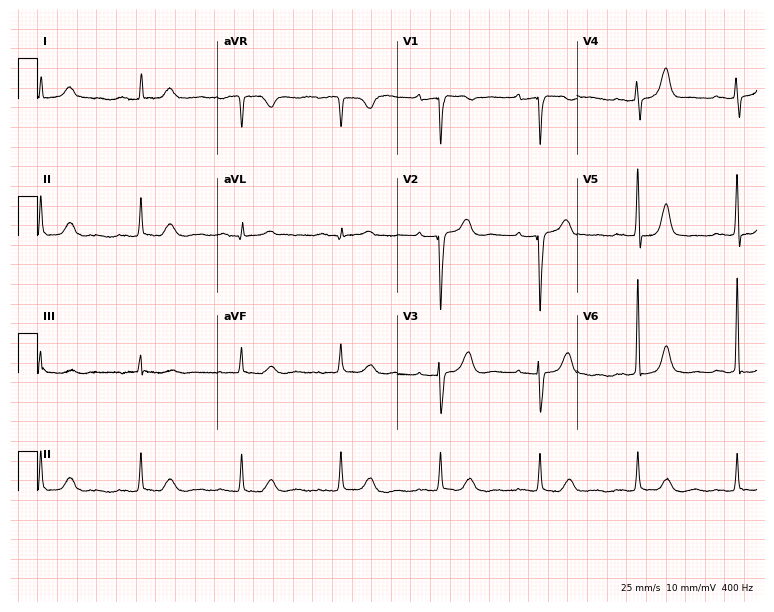
ECG (7.3-second recording at 400 Hz) — an 81-year-old female. Screened for six findings — first-degree AV block, right bundle branch block (RBBB), left bundle branch block (LBBB), sinus bradycardia, atrial fibrillation (AF), sinus tachycardia — none is recorded.